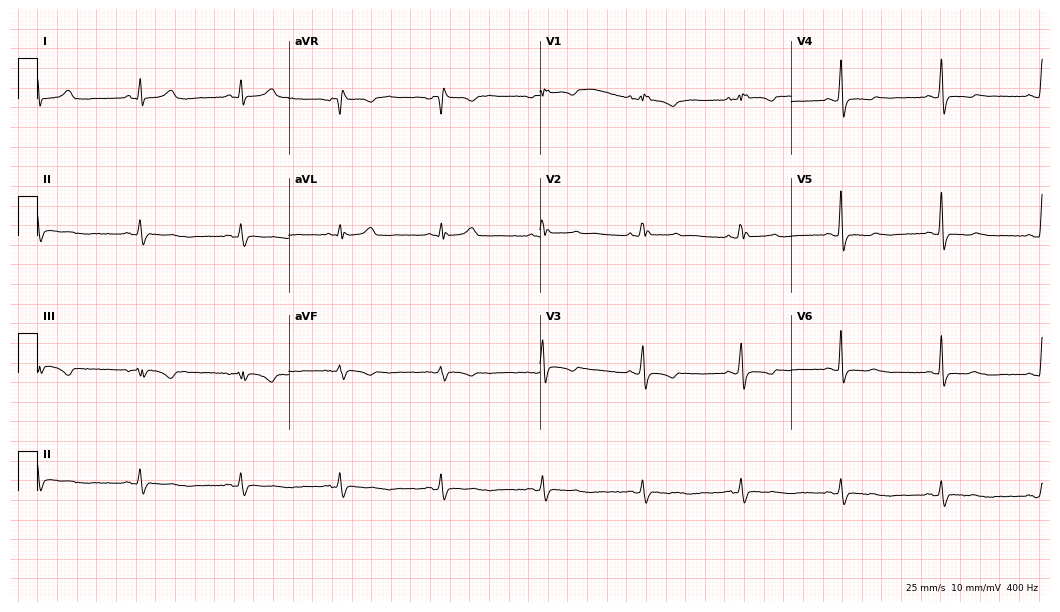
Resting 12-lead electrocardiogram. Patient: a female, 55 years old. None of these six findings is recorded: first-degree AV block, right bundle branch block, left bundle branch block, sinus bradycardia, atrial fibrillation, sinus tachycardia.